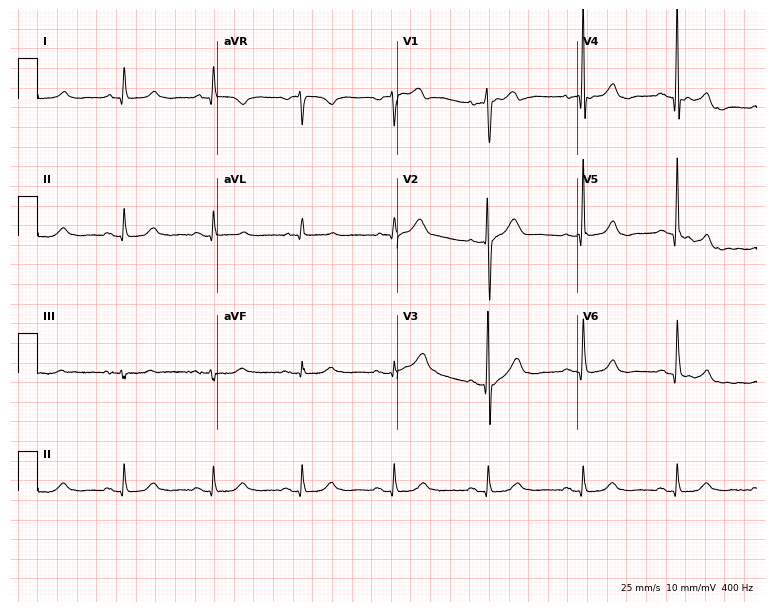
ECG (7.3-second recording at 400 Hz) — a male, 63 years old. Screened for six findings — first-degree AV block, right bundle branch block, left bundle branch block, sinus bradycardia, atrial fibrillation, sinus tachycardia — none is recorded.